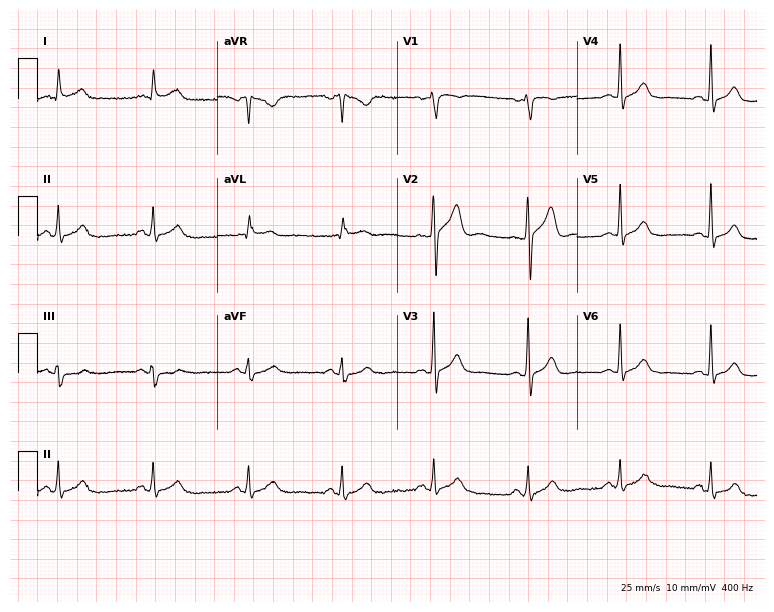
Resting 12-lead electrocardiogram (7.3-second recording at 400 Hz). Patient: a 57-year-old male. Read as a normal ECG.